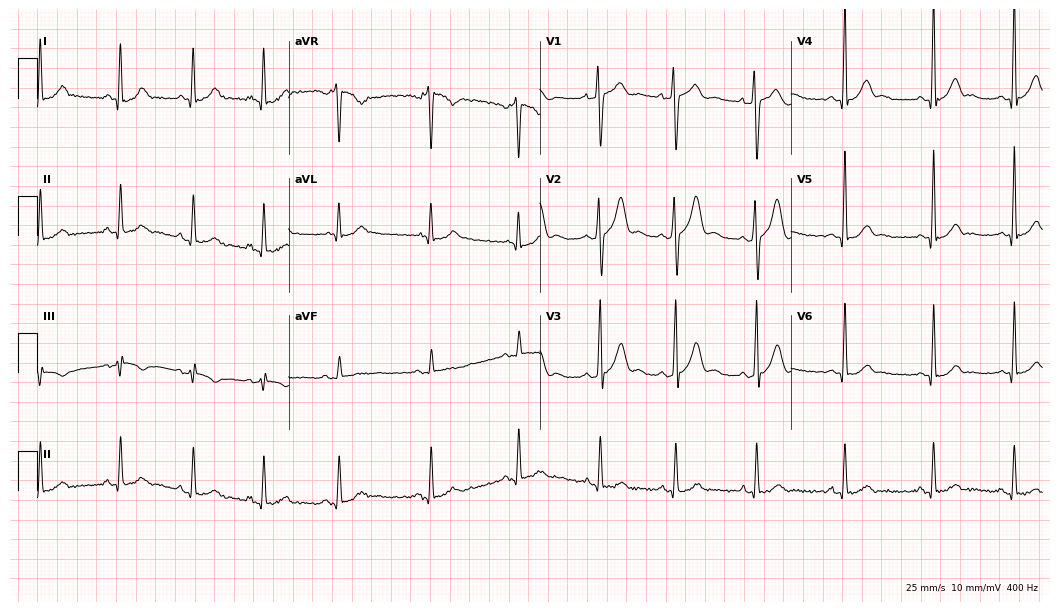
12-lead ECG (10.2-second recording at 400 Hz) from a man, 20 years old. Labelled as a normal ECG.